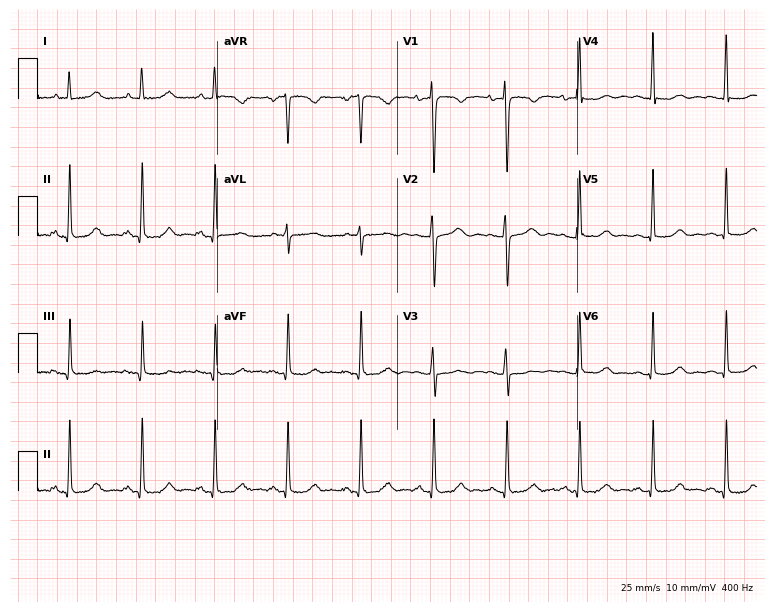
Standard 12-lead ECG recorded from a 40-year-old female patient (7.3-second recording at 400 Hz). None of these six findings is recorded: first-degree AV block, right bundle branch block, left bundle branch block, sinus bradycardia, atrial fibrillation, sinus tachycardia.